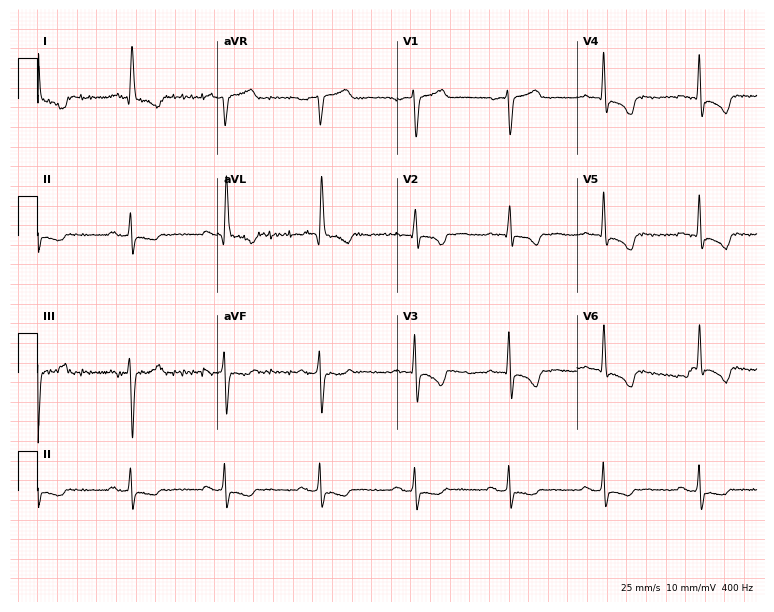
Standard 12-lead ECG recorded from a 69-year-old female (7.3-second recording at 400 Hz). None of these six findings is recorded: first-degree AV block, right bundle branch block, left bundle branch block, sinus bradycardia, atrial fibrillation, sinus tachycardia. Only these six findings were labelled.